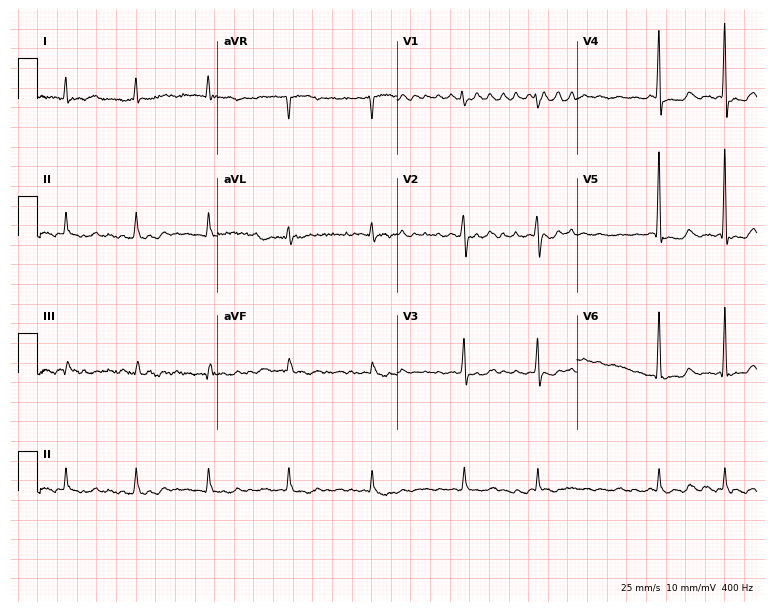
12-lead ECG from a female, 67 years old (7.3-second recording at 400 Hz). Shows atrial fibrillation.